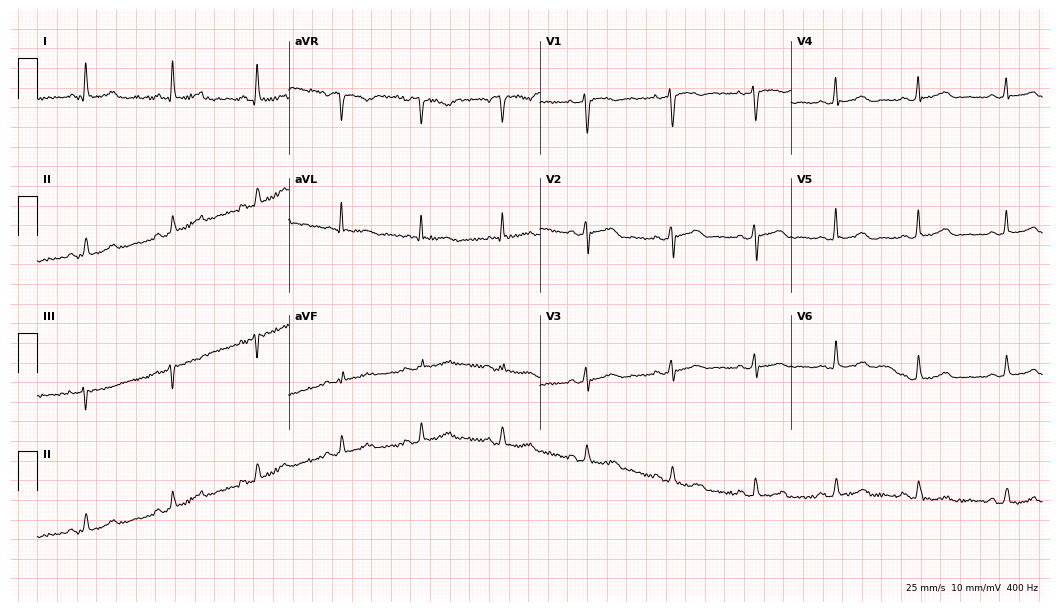
12-lead ECG from a female, 50 years old. Screened for six findings — first-degree AV block, right bundle branch block, left bundle branch block, sinus bradycardia, atrial fibrillation, sinus tachycardia — none is recorded.